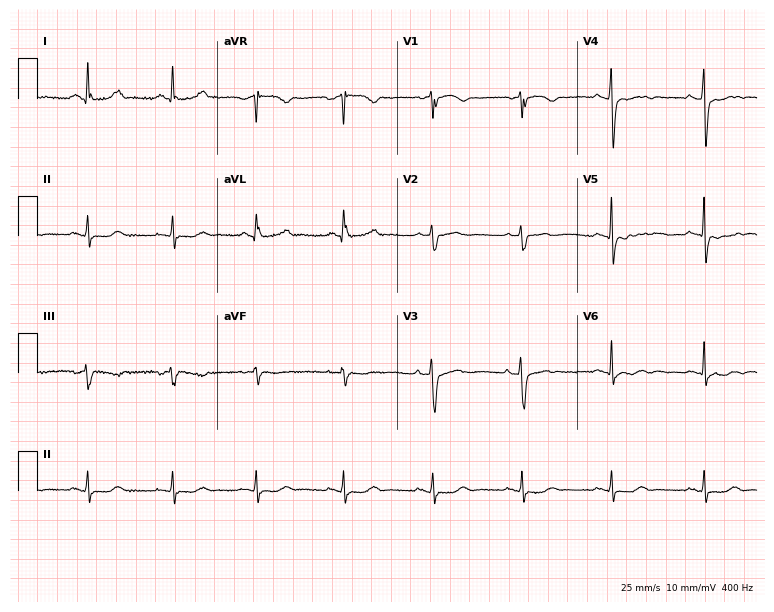
12-lead ECG from a 64-year-old female. Screened for six findings — first-degree AV block, right bundle branch block, left bundle branch block, sinus bradycardia, atrial fibrillation, sinus tachycardia — none is recorded.